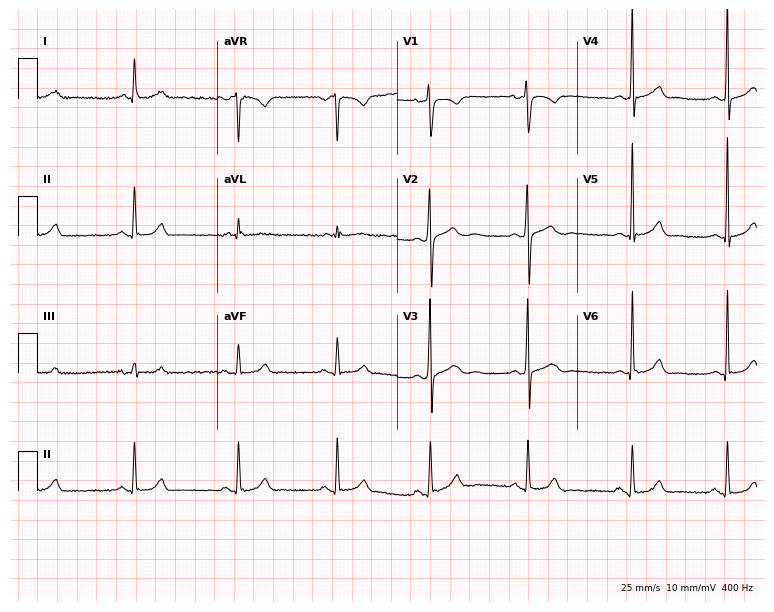
12-lead ECG from a man, 34 years old (7.3-second recording at 400 Hz). Recorded interpretation: within normal limits.